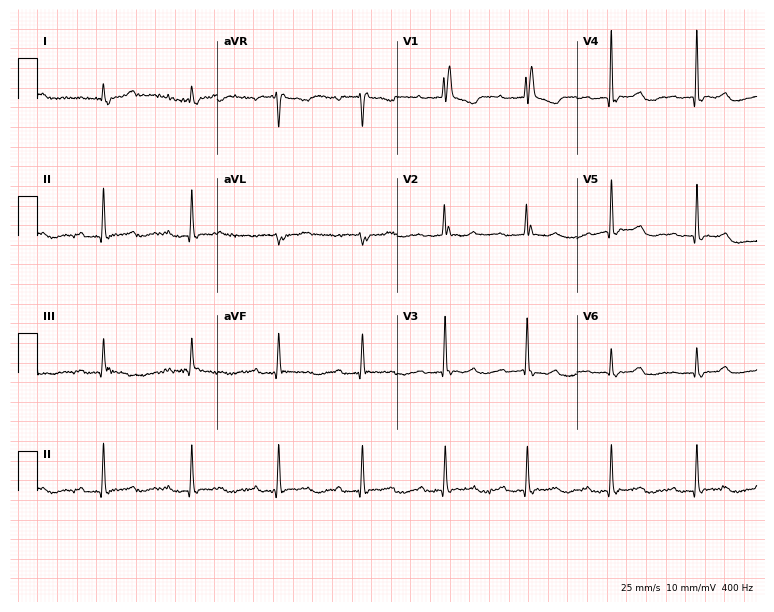
Standard 12-lead ECG recorded from a woman, 81 years old. The tracing shows first-degree AV block, right bundle branch block (RBBB).